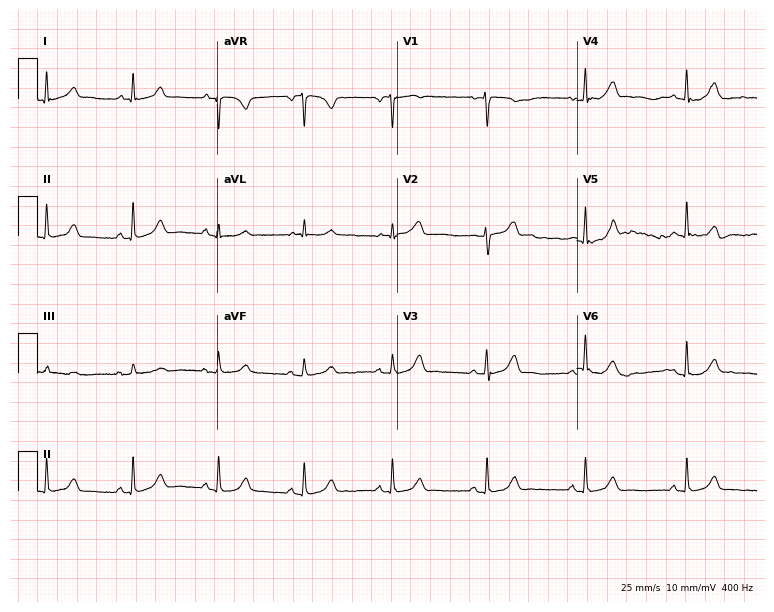
Standard 12-lead ECG recorded from a 57-year-old woman. Read as a normal ECG.